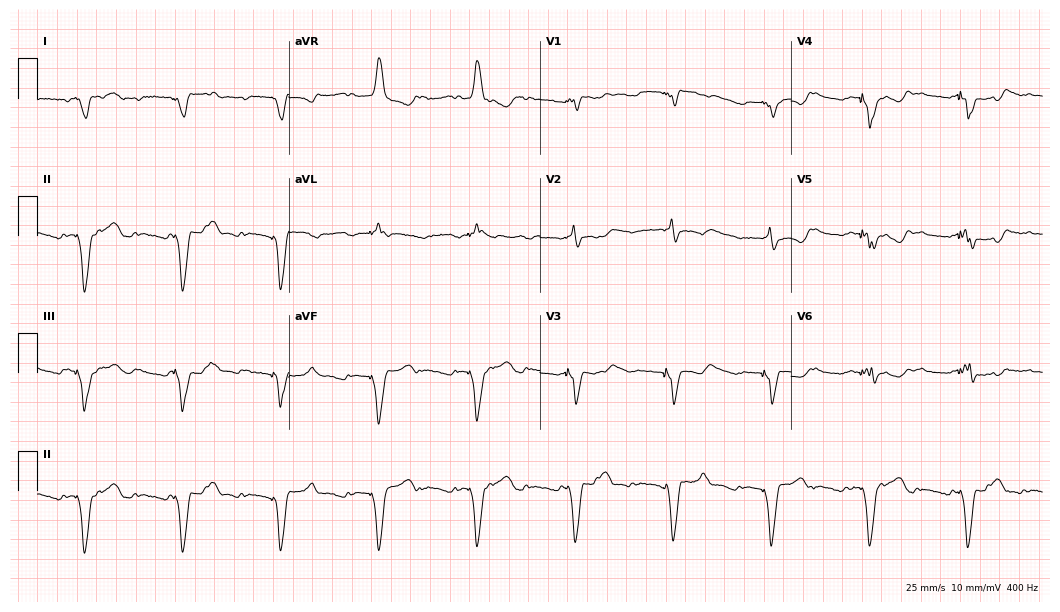
12-lead ECG from a female, 81 years old. No first-degree AV block, right bundle branch block (RBBB), left bundle branch block (LBBB), sinus bradycardia, atrial fibrillation (AF) or sinus tachycardia recorded for this tracing. Findings outside these six are not listed.